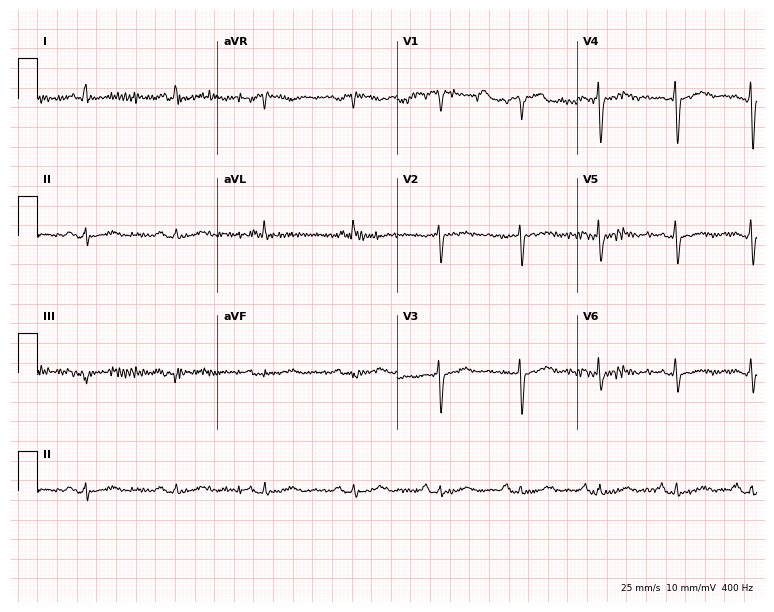
Standard 12-lead ECG recorded from a female patient, 63 years old. None of these six findings is recorded: first-degree AV block, right bundle branch block, left bundle branch block, sinus bradycardia, atrial fibrillation, sinus tachycardia. Only these six findings were labelled.